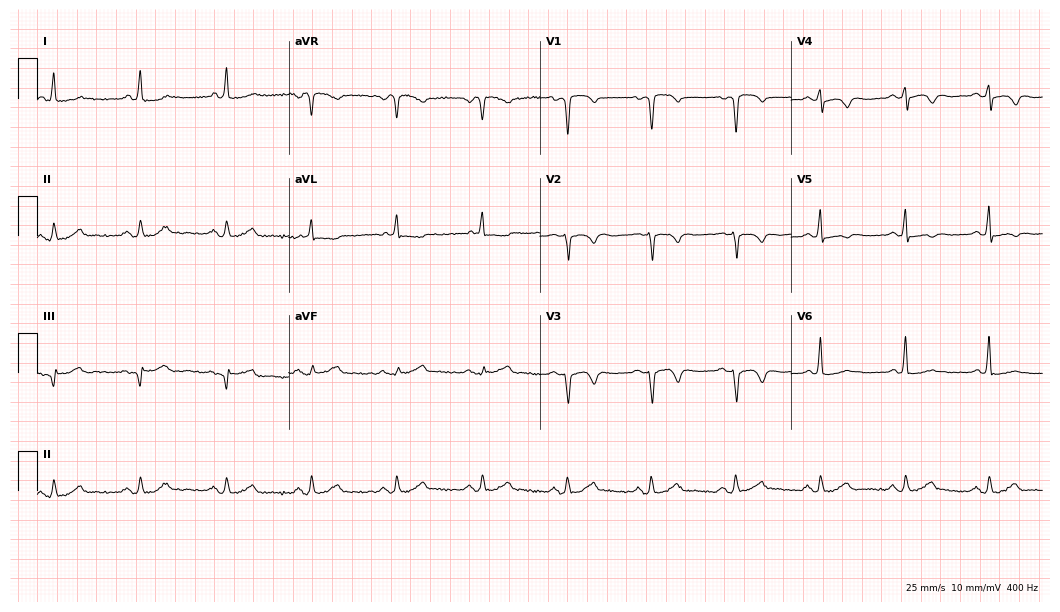
Resting 12-lead electrocardiogram (10.2-second recording at 400 Hz). Patient: a 62-year-old male. None of these six findings is recorded: first-degree AV block, right bundle branch block, left bundle branch block, sinus bradycardia, atrial fibrillation, sinus tachycardia.